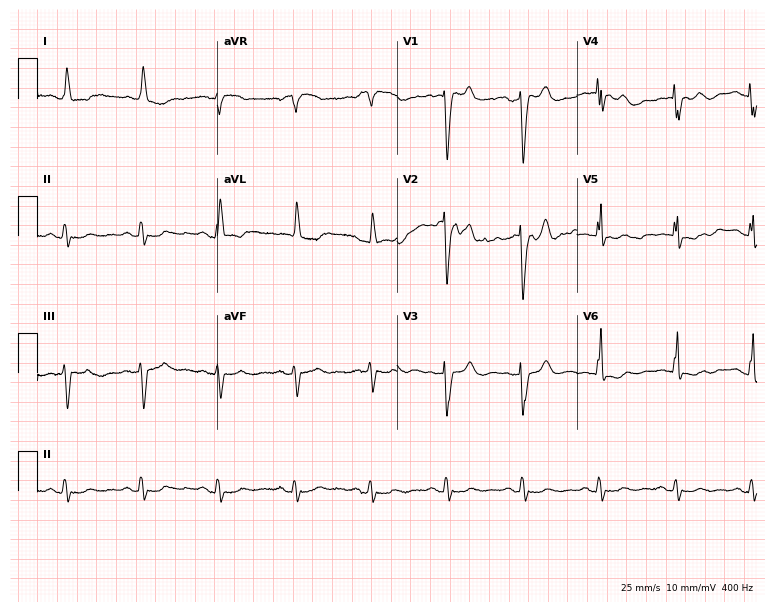
ECG (7.3-second recording at 400 Hz) — a 74-year-old woman. Screened for six findings — first-degree AV block, right bundle branch block (RBBB), left bundle branch block (LBBB), sinus bradycardia, atrial fibrillation (AF), sinus tachycardia — none is recorded.